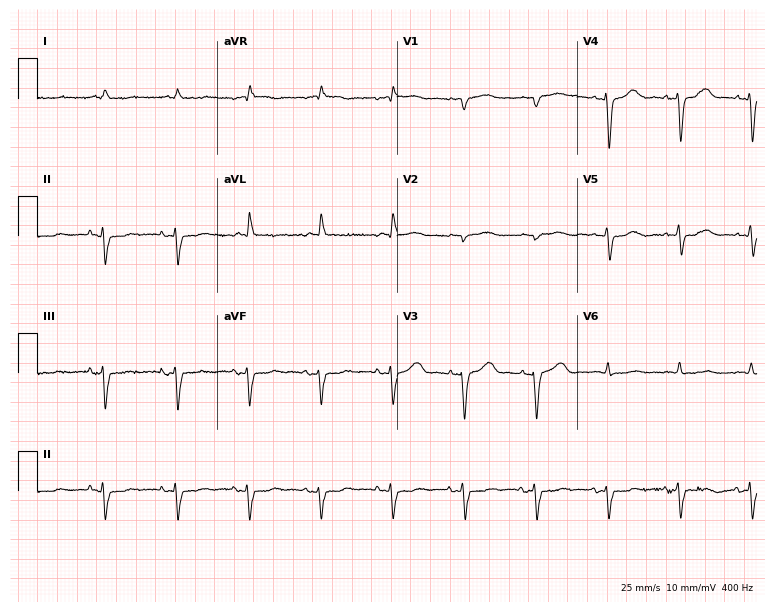
Standard 12-lead ECG recorded from an 84-year-old male patient (7.3-second recording at 400 Hz). None of these six findings is recorded: first-degree AV block, right bundle branch block (RBBB), left bundle branch block (LBBB), sinus bradycardia, atrial fibrillation (AF), sinus tachycardia.